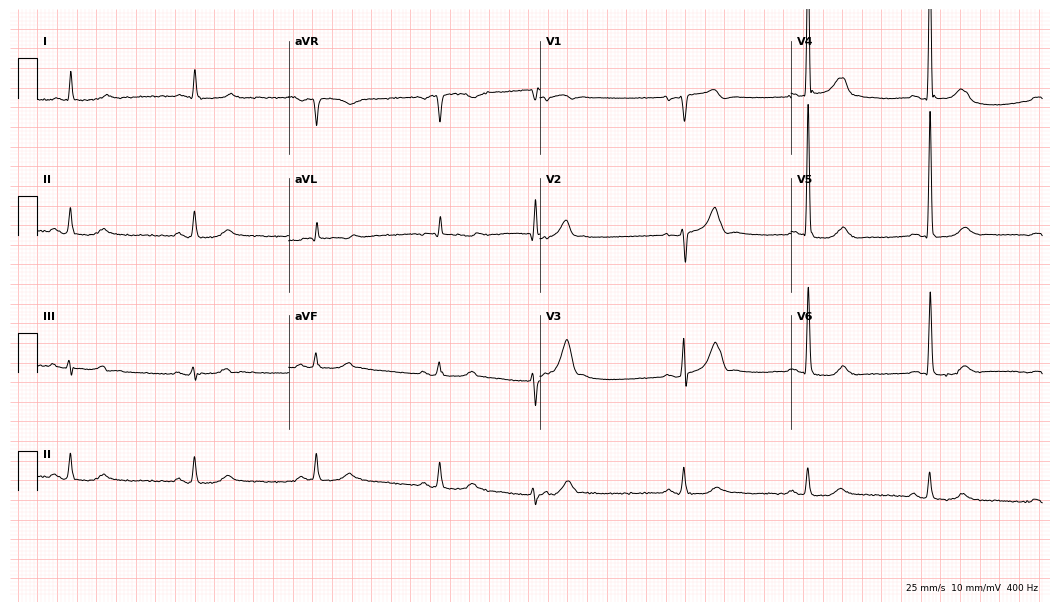
12-lead ECG from an 83-year-old male. Findings include sinus bradycardia (a sinus rate of 50 beats per minute or less).